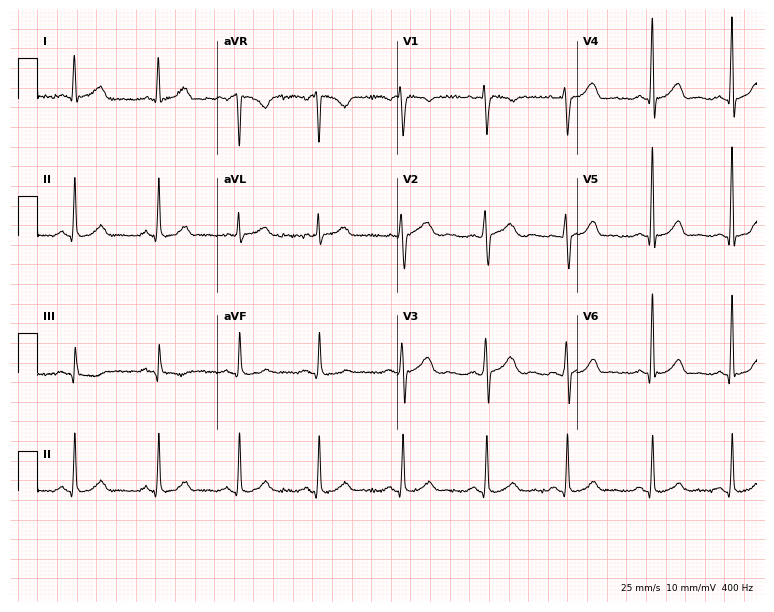
12-lead ECG from a female, 28 years old. Labelled as a normal ECG.